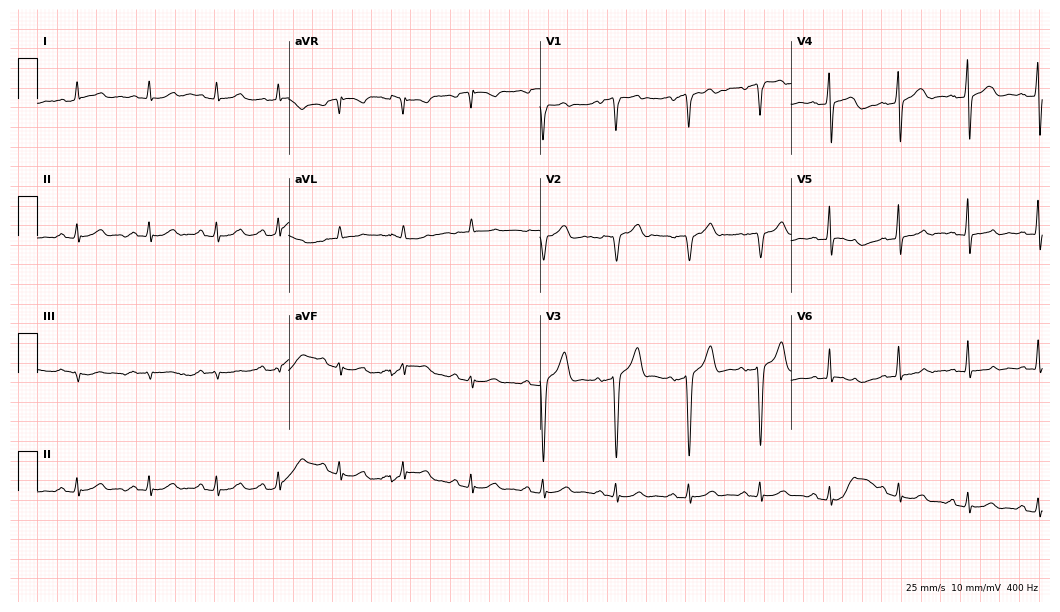
Standard 12-lead ECG recorded from a 49-year-old man. Read as a normal ECG.